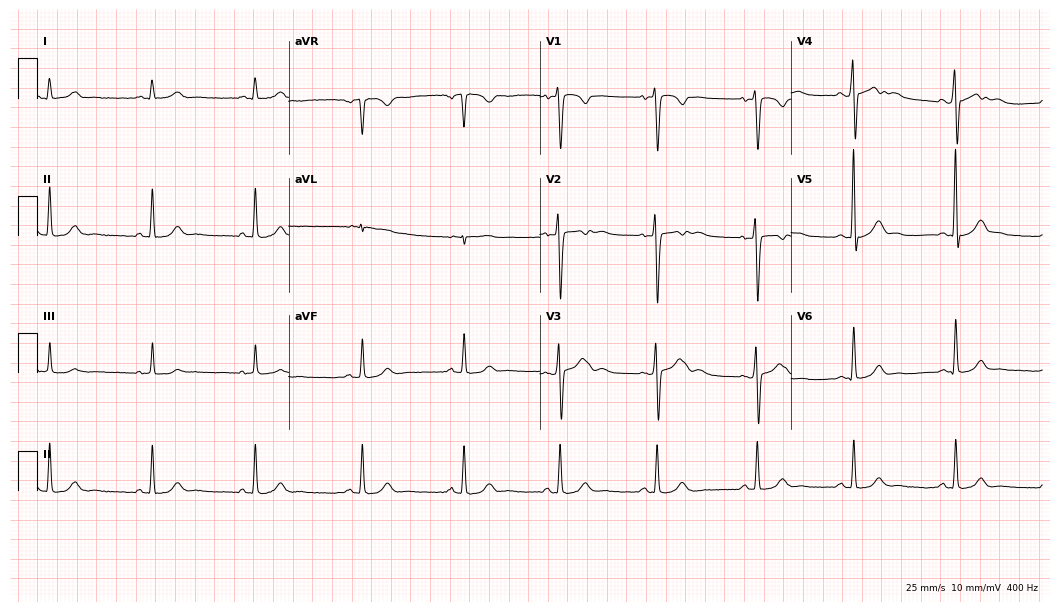
Standard 12-lead ECG recorded from a male patient, 20 years old. Read as a normal ECG.